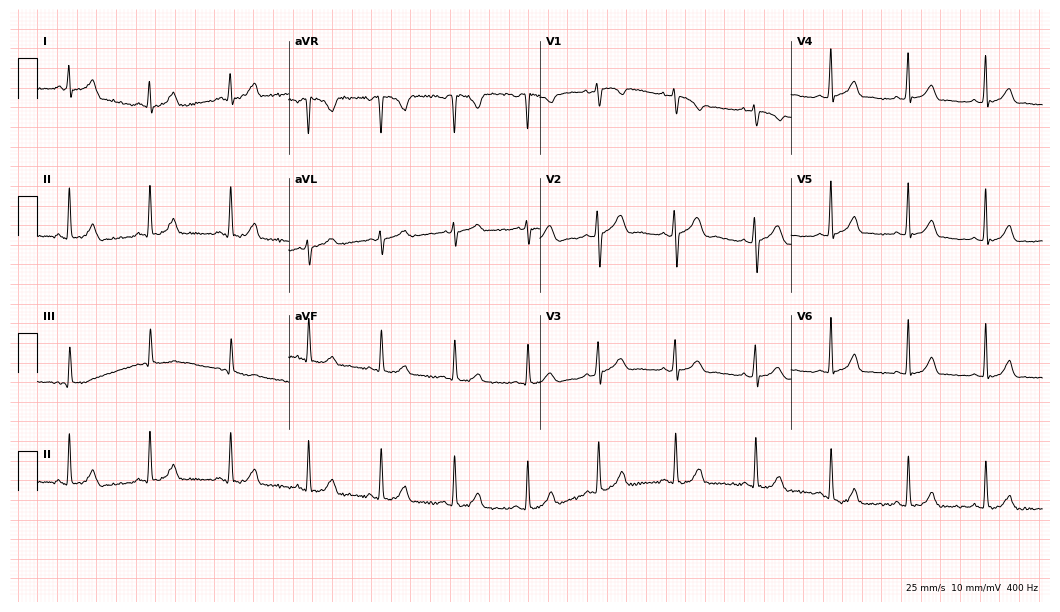
Resting 12-lead electrocardiogram. Patient: a woman, 21 years old. Read as a normal ECG.